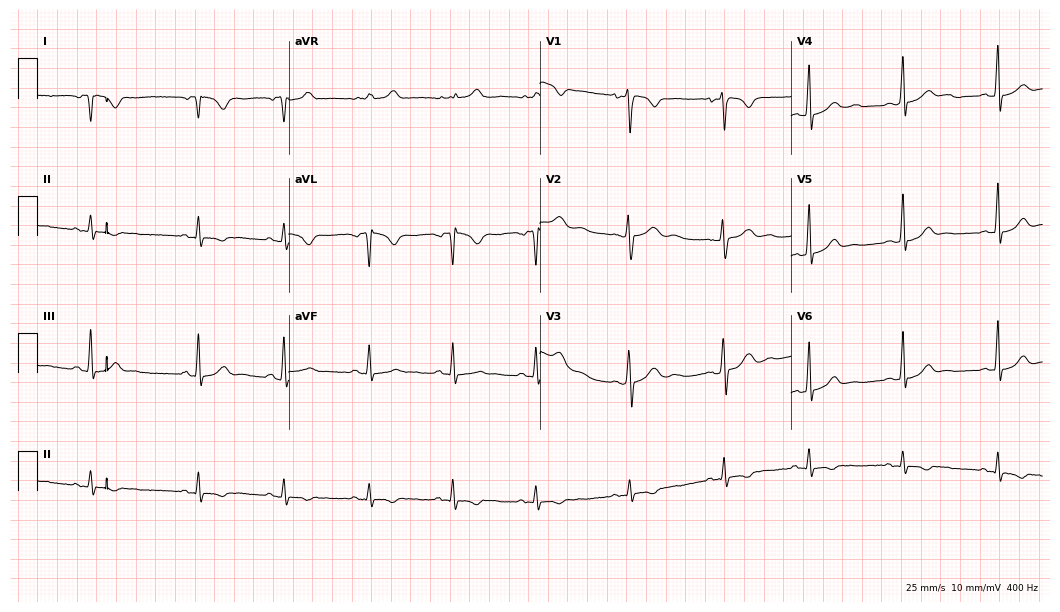
Standard 12-lead ECG recorded from a 21-year-old female. None of these six findings is recorded: first-degree AV block, right bundle branch block (RBBB), left bundle branch block (LBBB), sinus bradycardia, atrial fibrillation (AF), sinus tachycardia.